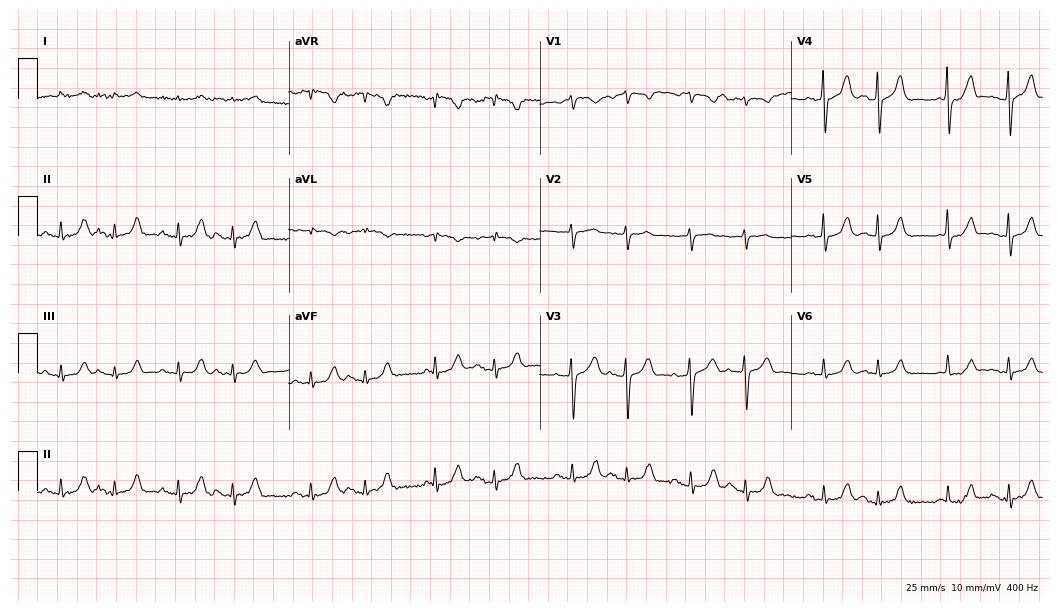
ECG (10.2-second recording at 400 Hz) — a man, 86 years old. Screened for six findings — first-degree AV block, right bundle branch block, left bundle branch block, sinus bradycardia, atrial fibrillation, sinus tachycardia — none is recorded. Only these six findings were labelled.